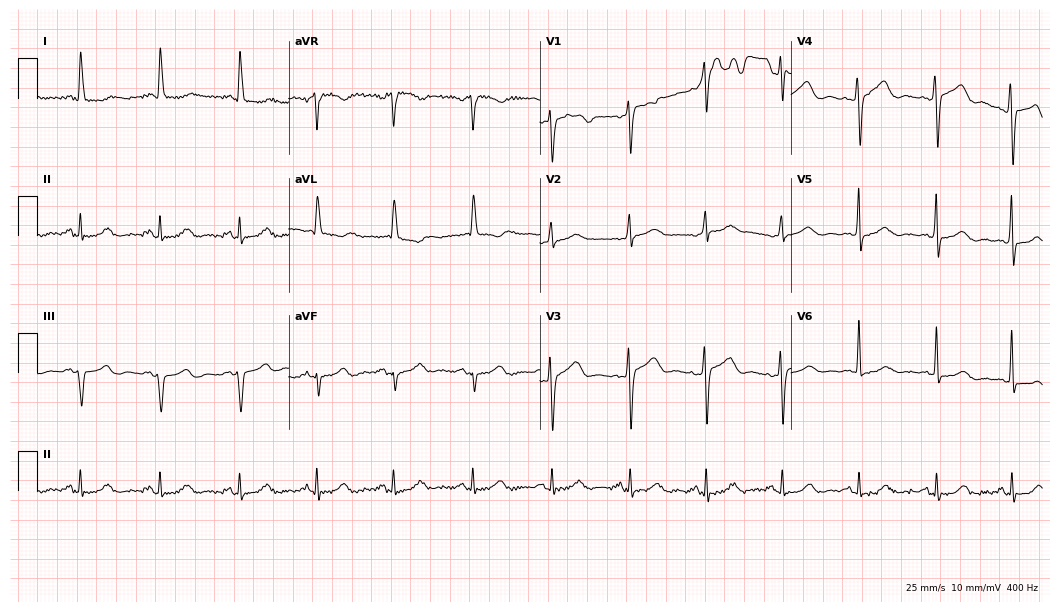
ECG (10.2-second recording at 400 Hz) — an 81-year-old woman. Labelled as a normal ECG.